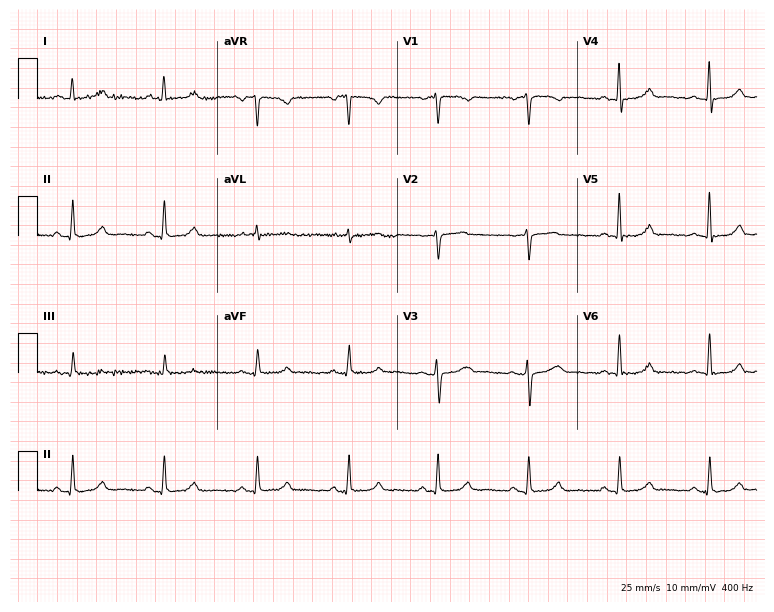
Resting 12-lead electrocardiogram (7.3-second recording at 400 Hz). Patient: a female, 57 years old. Read as a normal ECG.